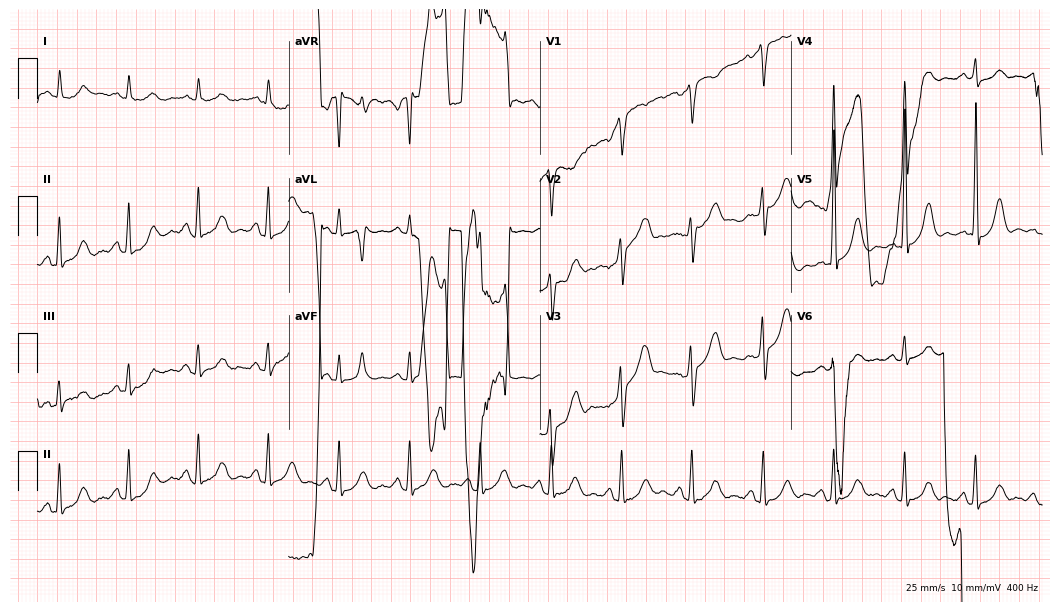
Resting 12-lead electrocardiogram (10.2-second recording at 400 Hz). Patient: a 73-year-old male. None of these six findings is recorded: first-degree AV block, right bundle branch block, left bundle branch block, sinus bradycardia, atrial fibrillation, sinus tachycardia. Findings outside these six are not listed.